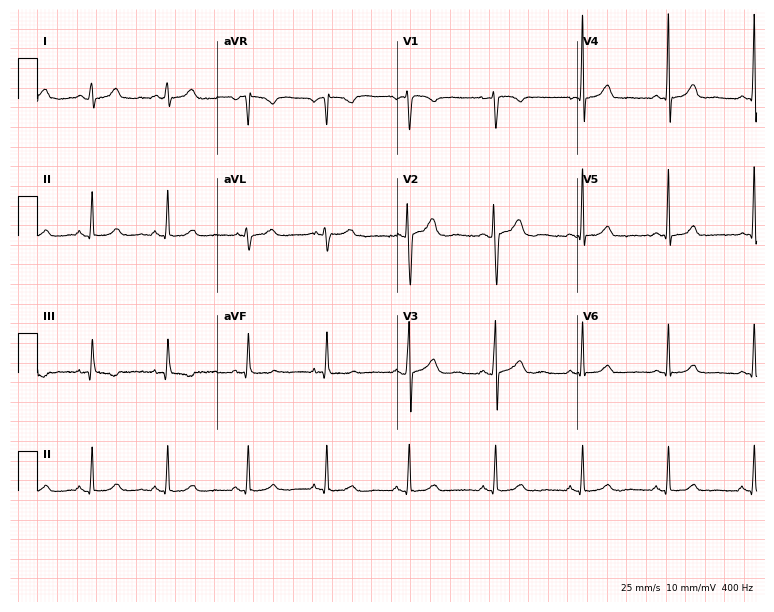
ECG (7.3-second recording at 400 Hz) — a woman, 40 years old. Screened for six findings — first-degree AV block, right bundle branch block (RBBB), left bundle branch block (LBBB), sinus bradycardia, atrial fibrillation (AF), sinus tachycardia — none is recorded.